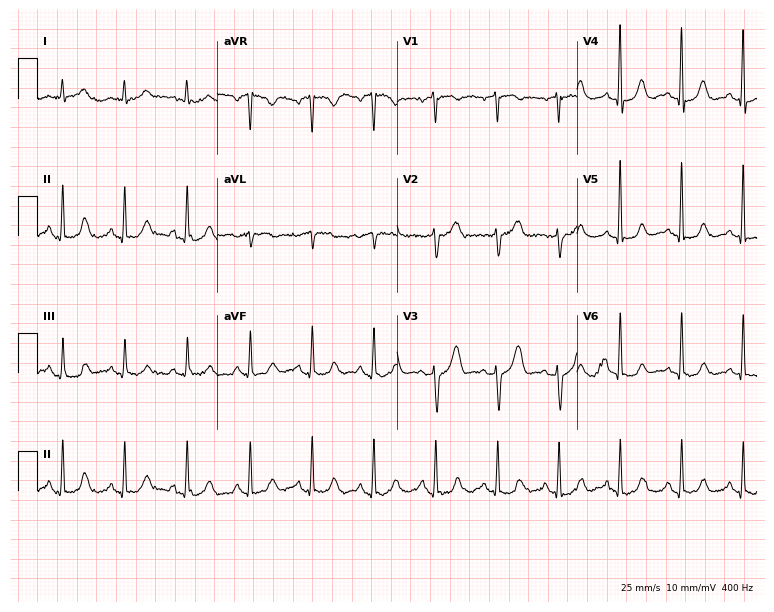
12-lead ECG (7.3-second recording at 400 Hz) from an 84-year-old female patient. Screened for six findings — first-degree AV block, right bundle branch block, left bundle branch block, sinus bradycardia, atrial fibrillation, sinus tachycardia — none is recorded. Other findings, if any, are not listed.